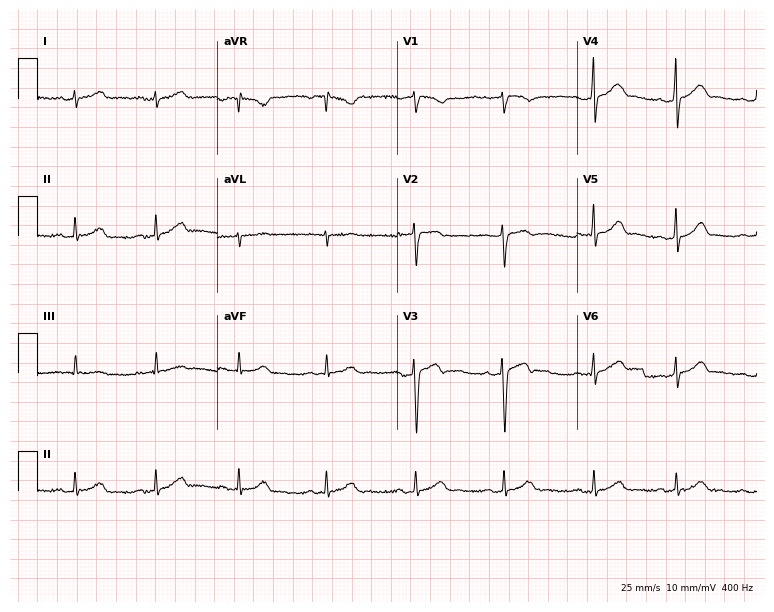
12-lead ECG from a female patient, 28 years old. Screened for six findings — first-degree AV block, right bundle branch block, left bundle branch block, sinus bradycardia, atrial fibrillation, sinus tachycardia — none is recorded. Other findings, if any, are not listed.